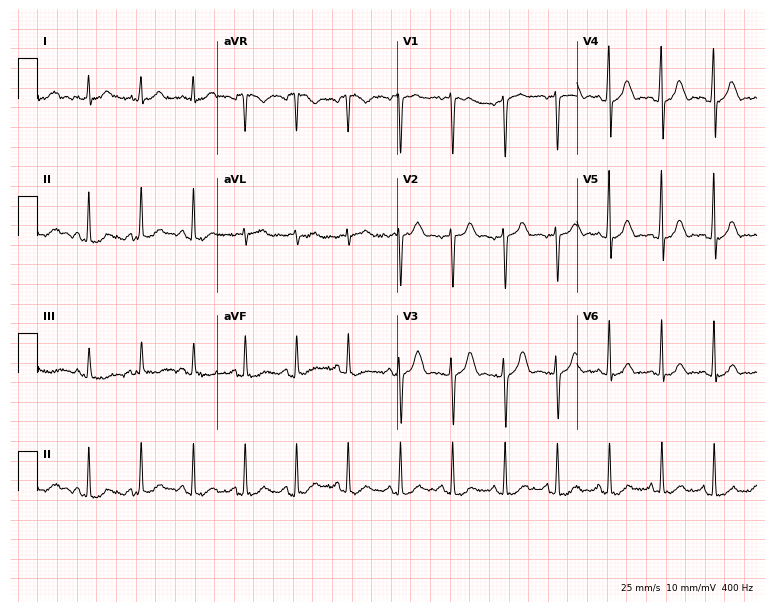
Standard 12-lead ECG recorded from a 36-year-old female patient. The tracing shows sinus tachycardia (a sinus rate of 100 beats per minute or more).